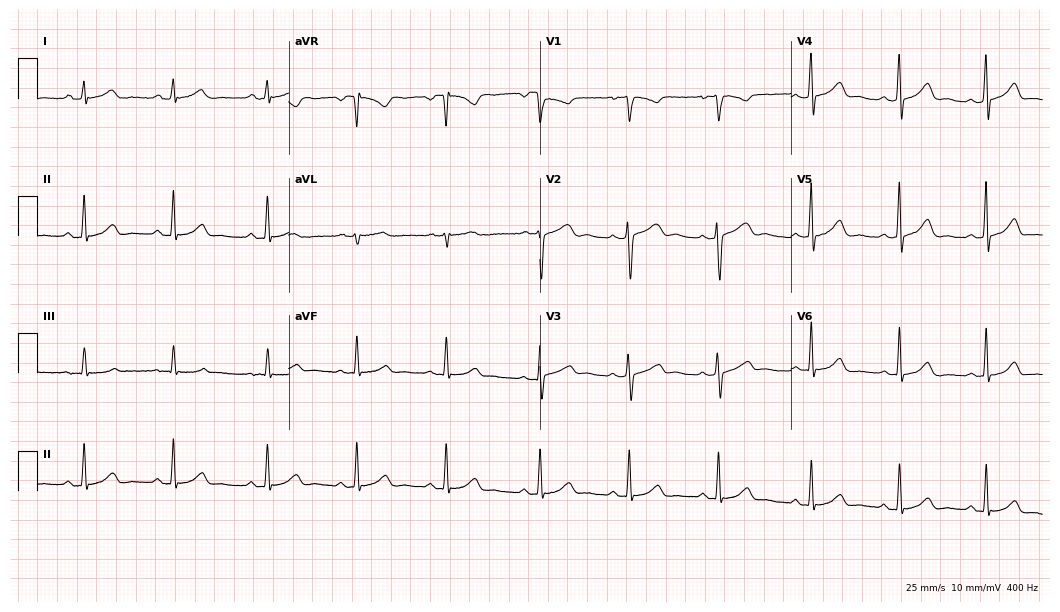
ECG — a 26-year-old female patient. Screened for six findings — first-degree AV block, right bundle branch block, left bundle branch block, sinus bradycardia, atrial fibrillation, sinus tachycardia — none is recorded.